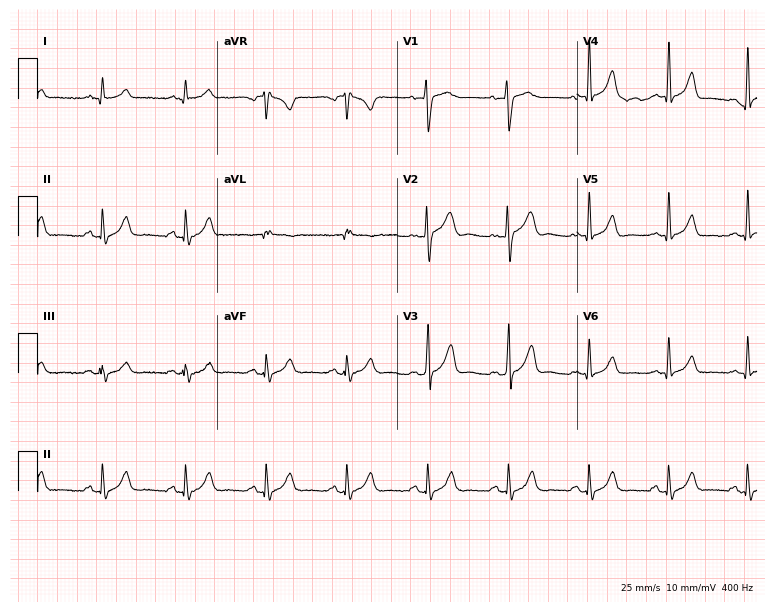
12-lead ECG from a 30-year-old male patient (7.3-second recording at 400 Hz). Recorded interpretation: within normal limits.